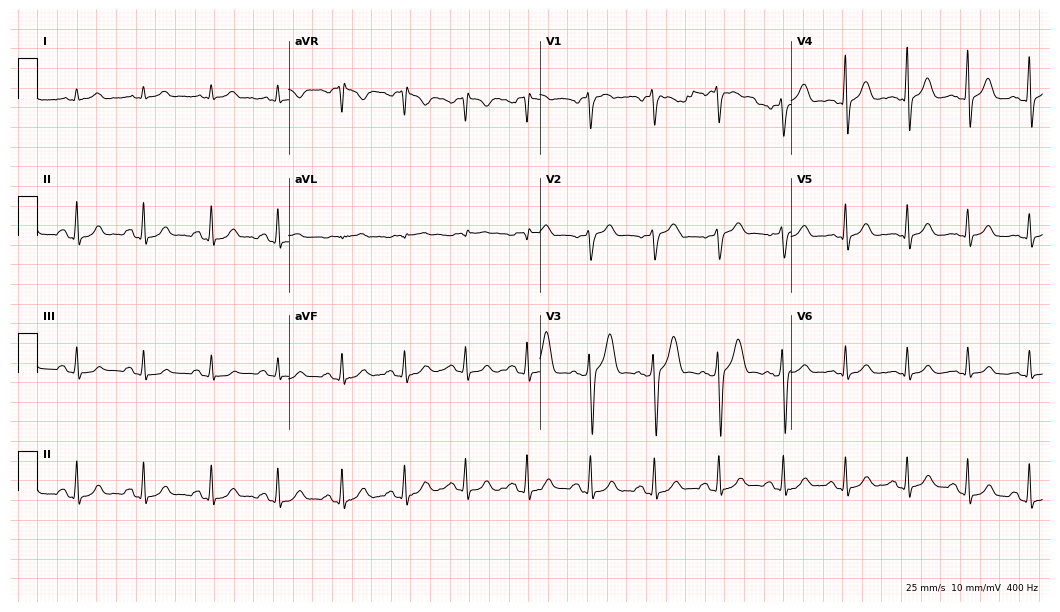
ECG (10.2-second recording at 400 Hz) — a 69-year-old male. Labelled as a normal ECG.